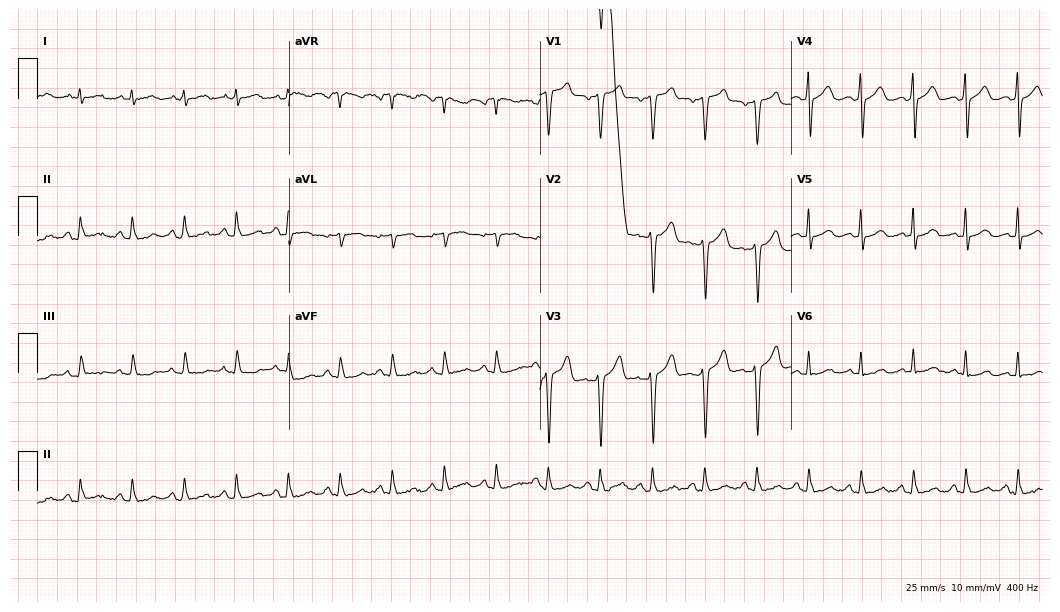
Resting 12-lead electrocardiogram. Patient: a male, 73 years old. The tracing shows atrial fibrillation (AF).